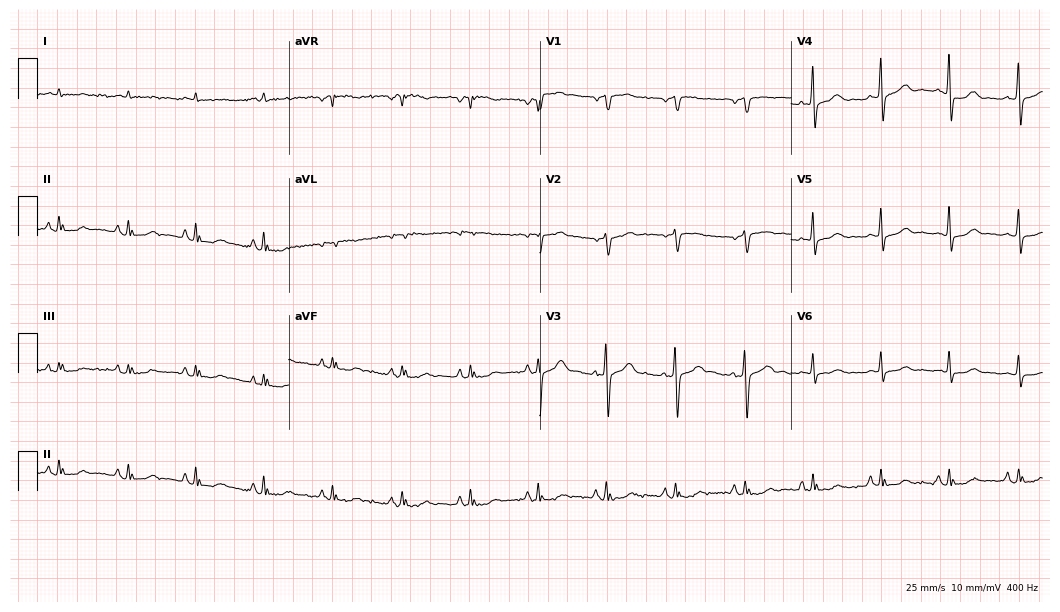
Electrocardiogram (10.2-second recording at 400 Hz), a 79-year-old male. Of the six screened findings (first-degree AV block, right bundle branch block (RBBB), left bundle branch block (LBBB), sinus bradycardia, atrial fibrillation (AF), sinus tachycardia), none is recorded.